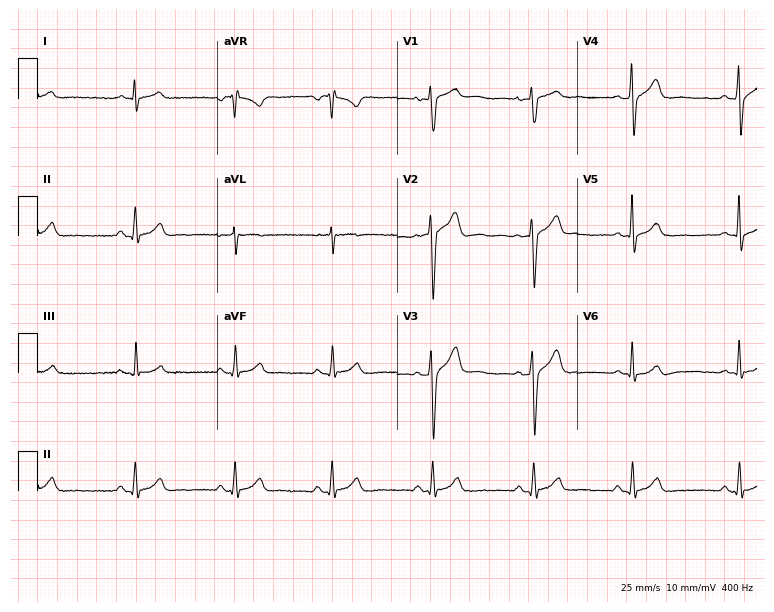
Resting 12-lead electrocardiogram. Patient: a male, 39 years old. Read as a normal ECG.